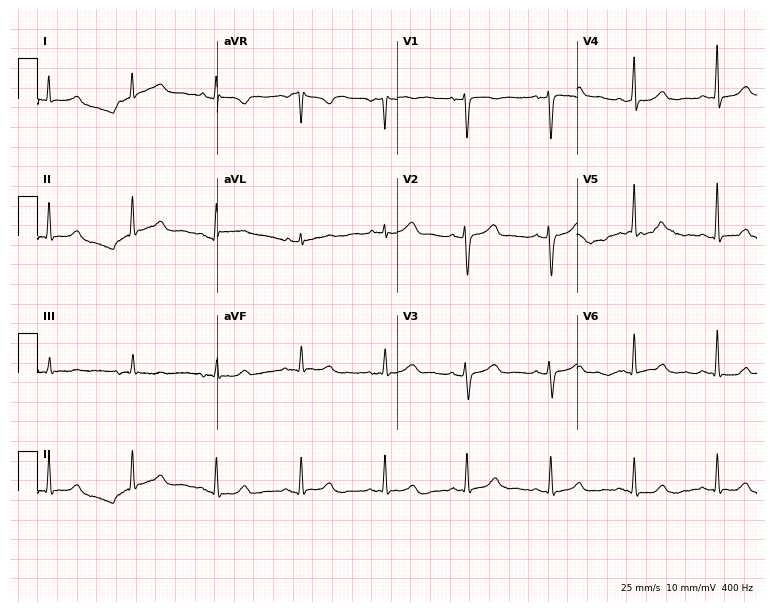
Resting 12-lead electrocardiogram. Patient: a 58-year-old female. Read as a normal ECG.